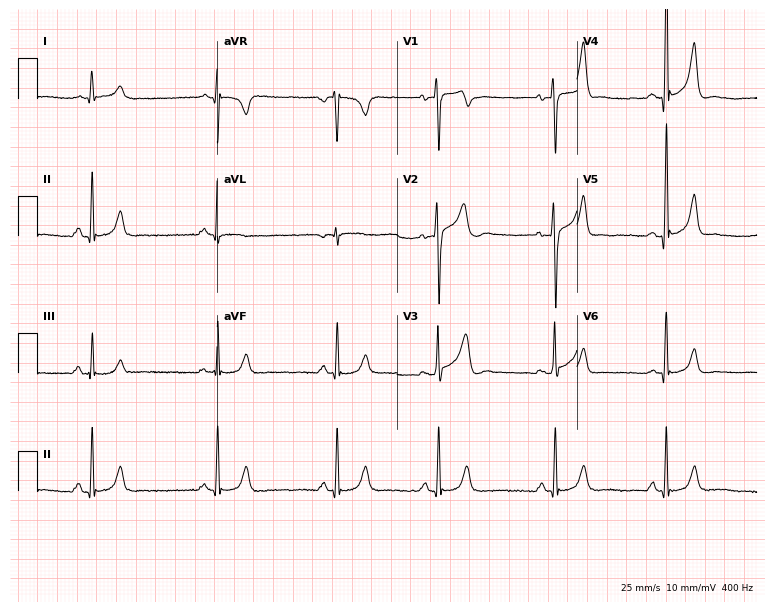
Electrocardiogram (7.3-second recording at 400 Hz), a 23-year-old male. Overall reading on record: normal ECG.